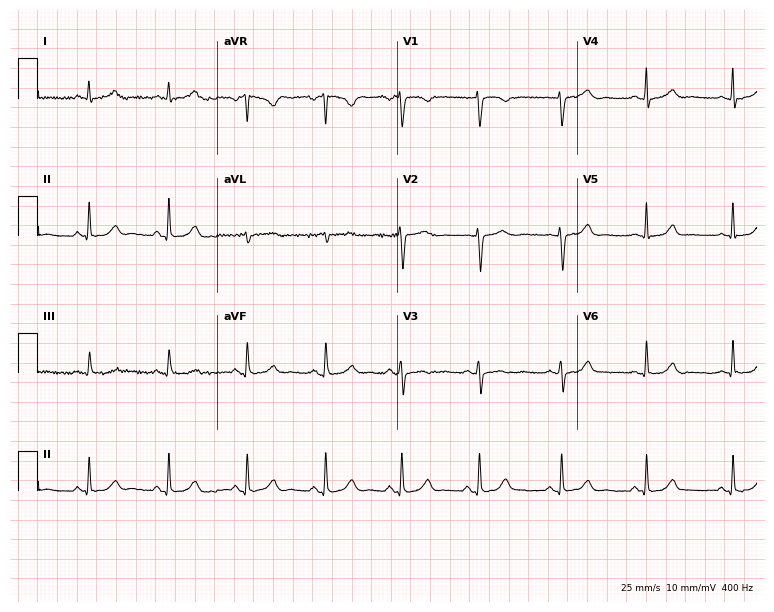
12-lead ECG (7.3-second recording at 400 Hz) from a 29-year-old female. Labelled as a normal ECG.